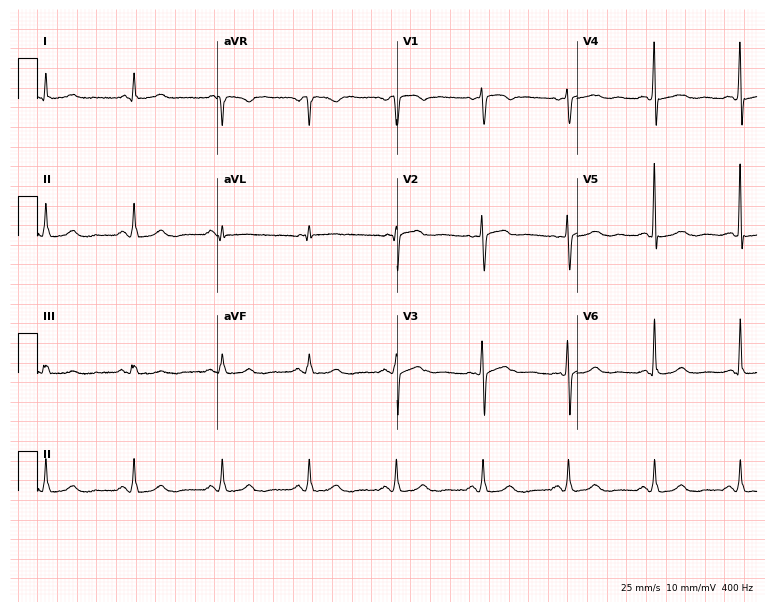
ECG — a female patient, 59 years old. Labelled as a normal ECG.